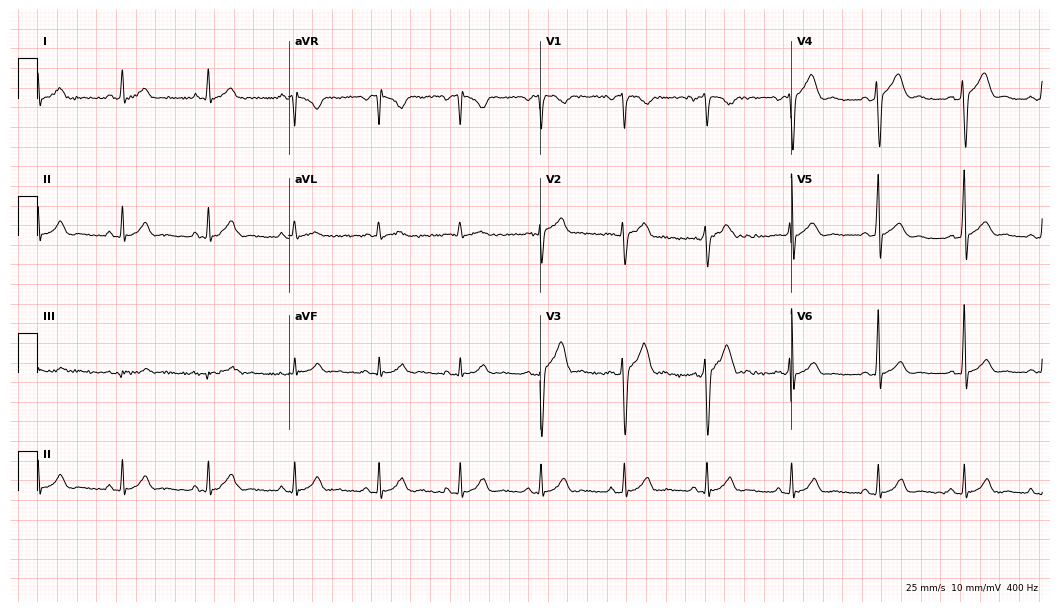
12-lead ECG (10.2-second recording at 400 Hz) from a man, 31 years old. Labelled as a normal ECG.